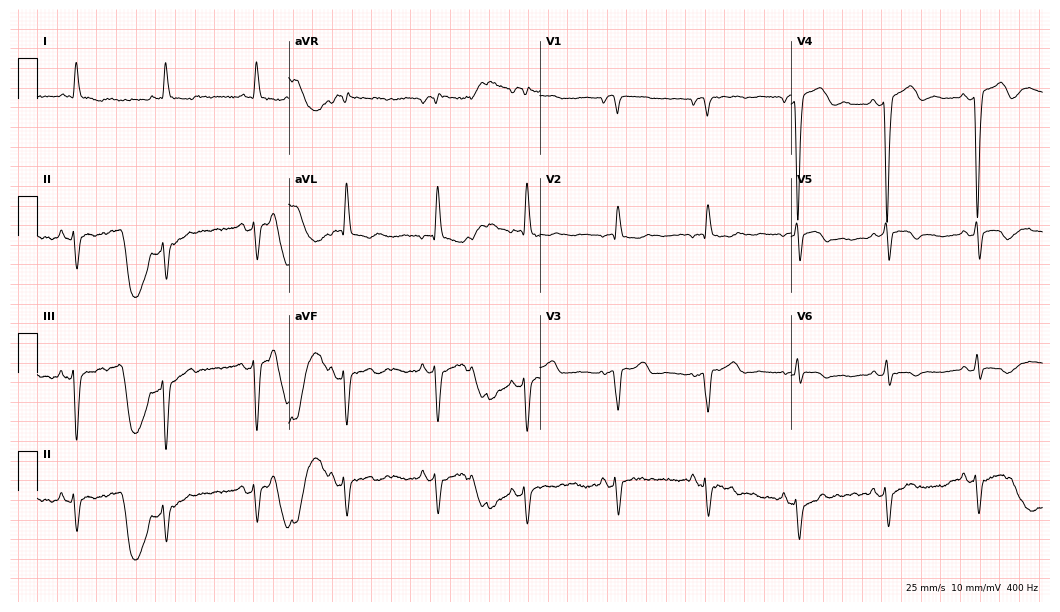
Standard 12-lead ECG recorded from a male, 85 years old (10.2-second recording at 400 Hz). None of these six findings is recorded: first-degree AV block, right bundle branch block, left bundle branch block, sinus bradycardia, atrial fibrillation, sinus tachycardia. Only these six findings were labelled.